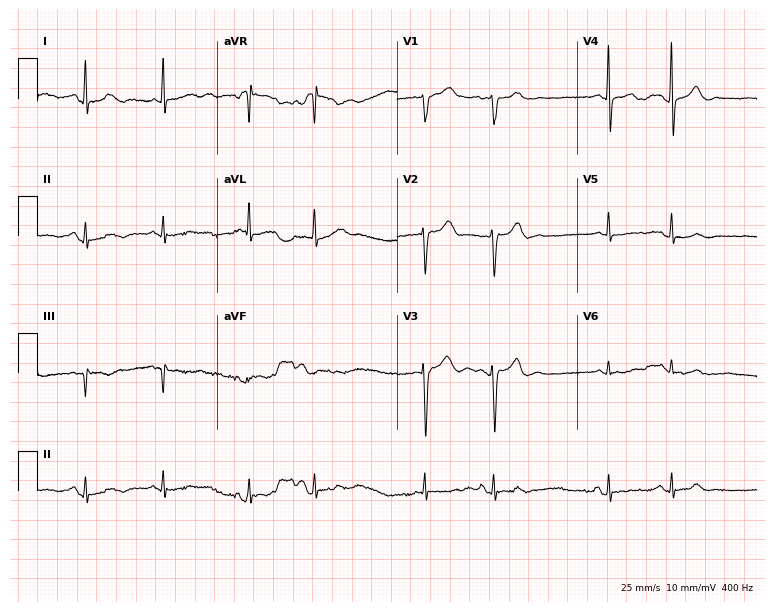
12-lead ECG (7.3-second recording at 400 Hz) from an 82-year-old female. Screened for six findings — first-degree AV block, right bundle branch block, left bundle branch block, sinus bradycardia, atrial fibrillation, sinus tachycardia — none is recorded.